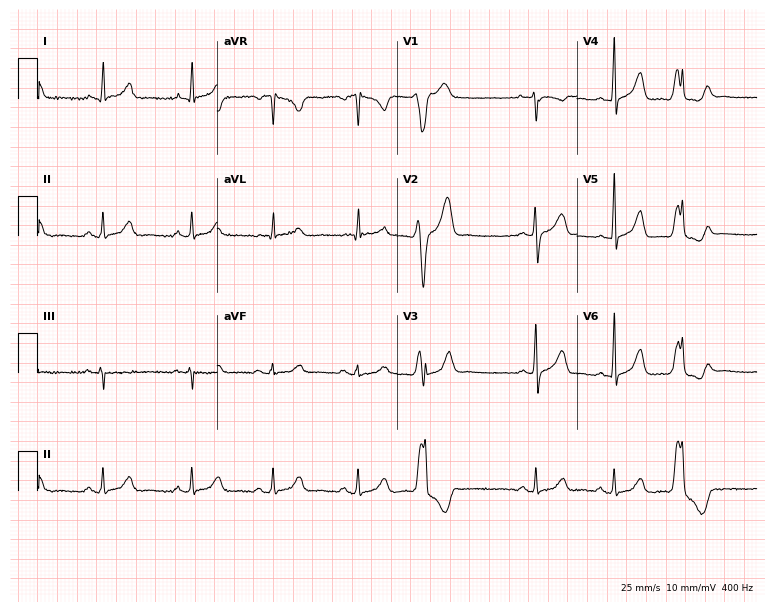
Electrocardiogram (7.3-second recording at 400 Hz), a 28-year-old female patient. Of the six screened findings (first-degree AV block, right bundle branch block, left bundle branch block, sinus bradycardia, atrial fibrillation, sinus tachycardia), none is recorded. Only these six findings were labelled.